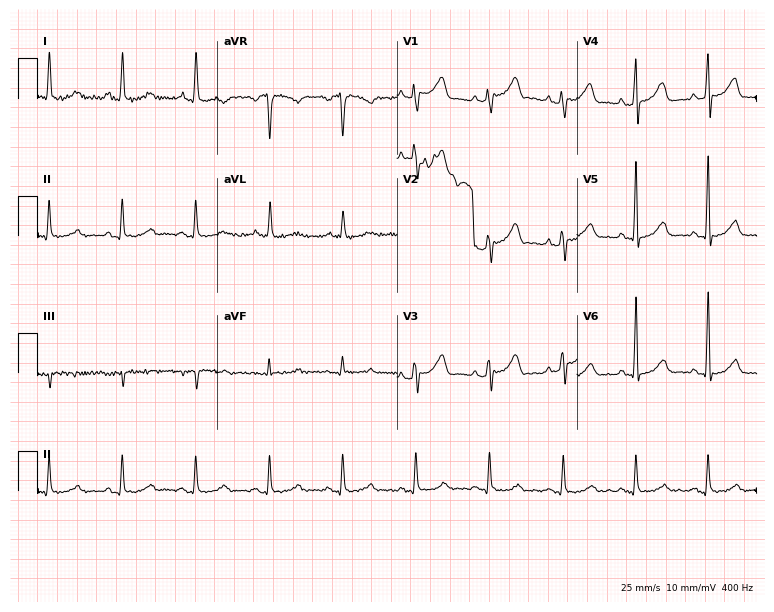
12-lead ECG (7.3-second recording at 400 Hz) from a male patient, 70 years old. Screened for six findings — first-degree AV block, right bundle branch block (RBBB), left bundle branch block (LBBB), sinus bradycardia, atrial fibrillation (AF), sinus tachycardia — none is recorded. Only these six findings were labelled.